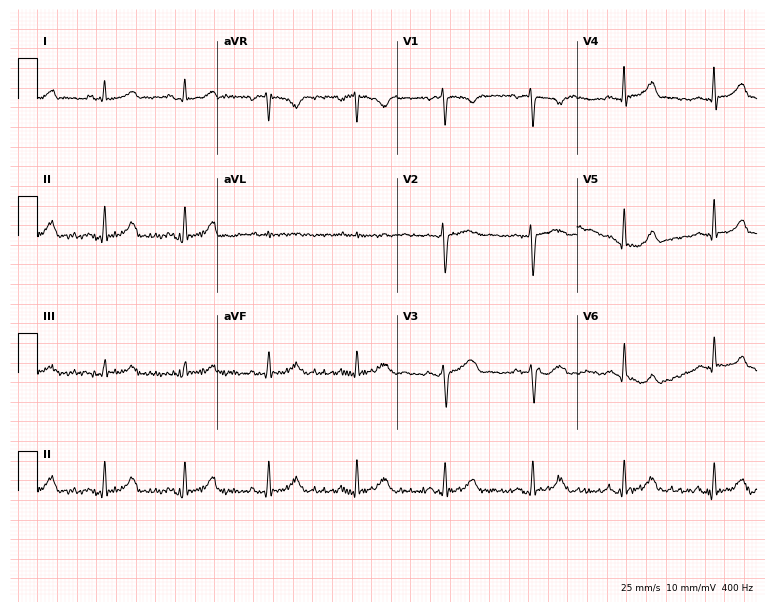
12-lead ECG (7.3-second recording at 400 Hz) from a 24-year-old female. Labelled as a normal ECG.